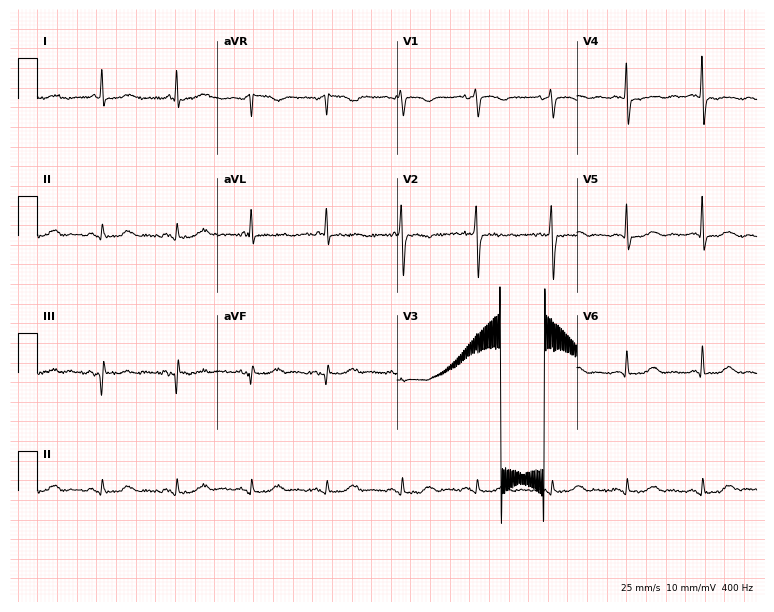
Electrocardiogram, a female, 83 years old. Of the six screened findings (first-degree AV block, right bundle branch block, left bundle branch block, sinus bradycardia, atrial fibrillation, sinus tachycardia), none is recorded. Other findings, if any, are not listed.